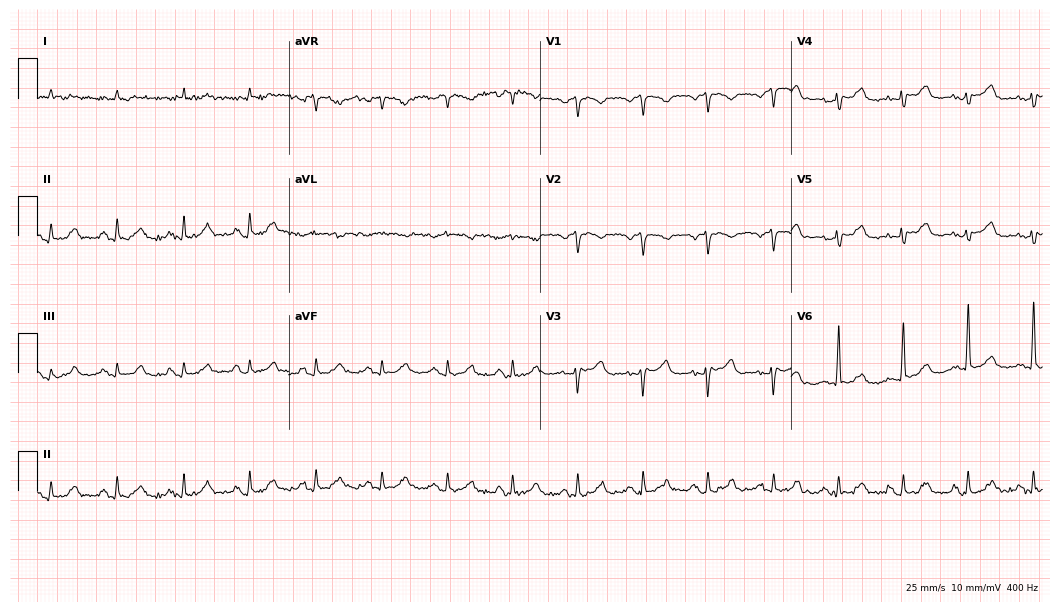
12-lead ECG from a male patient, 84 years old. Screened for six findings — first-degree AV block, right bundle branch block, left bundle branch block, sinus bradycardia, atrial fibrillation, sinus tachycardia — none is recorded.